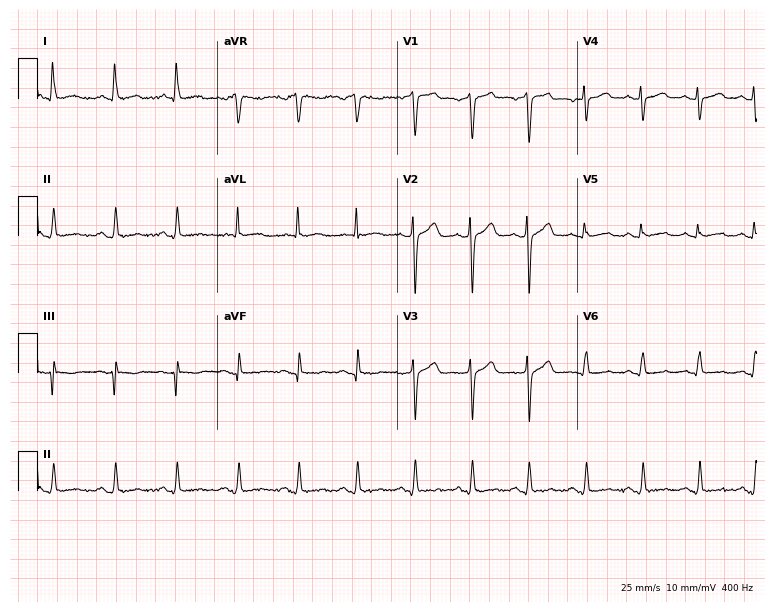
ECG (7.3-second recording at 400 Hz) — a 62-year-old male patient. Screened for six findings — first-degree AV block, right bundle branch block, left bundle branch block, sinus bradycardia, atrial fibrillation, sinus tachycardia — none is recorded. Other findings, if any, are not listed.